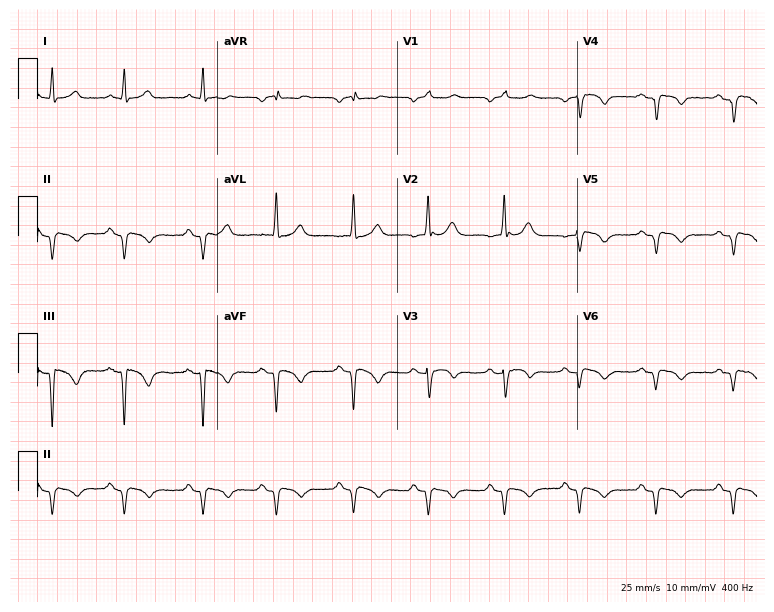
Standard 12-lead ECG recorded from a male patient, 65 years old (7.3-second recording at 400 Hz). None of these six findings is recorded: first-degree AV block, right bundle branch block, left bundle branch block, sinus bradycardia, atrial fibrillation, sinus tachycardia. Findings outside these six are not listed.